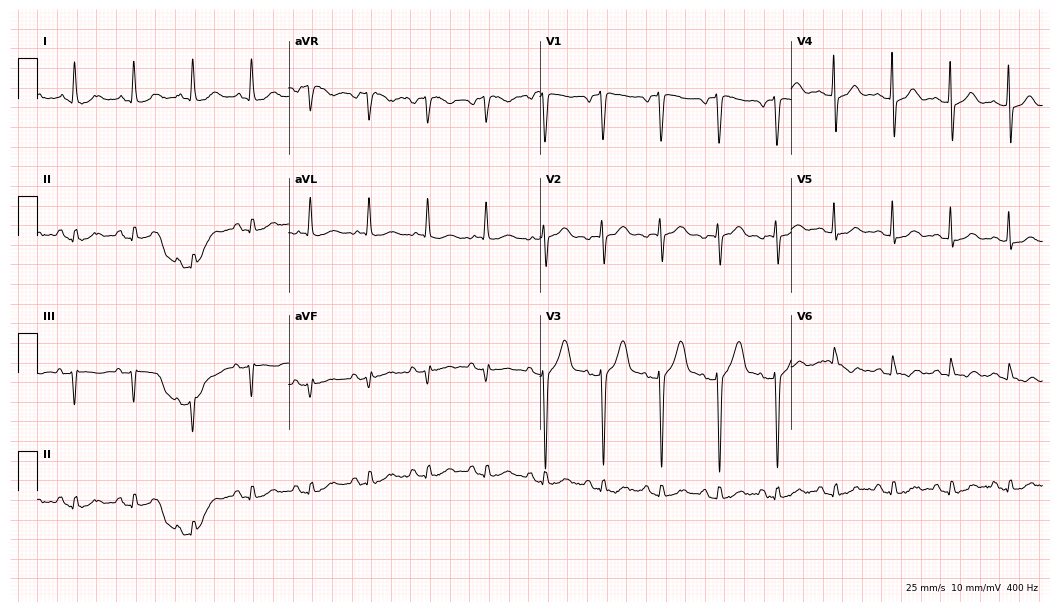
ECG — a male patient, 60 years old. Findings include sinus tachycardia (a sinus rate of 100 beats per minute or more).